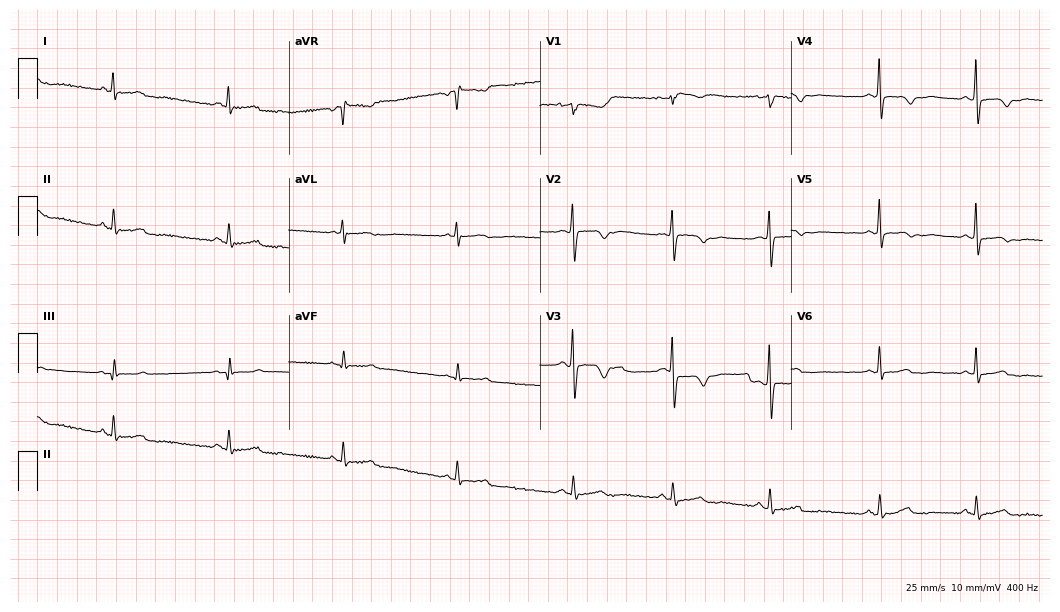
12-lead ECG from a 32-year-old woman. Screened for six findings — first-degree AV block, right bundle branch block, left bundle branch block, sinus bradycardia, atrial fibrillation, sinus tachycardia — none is recorded.